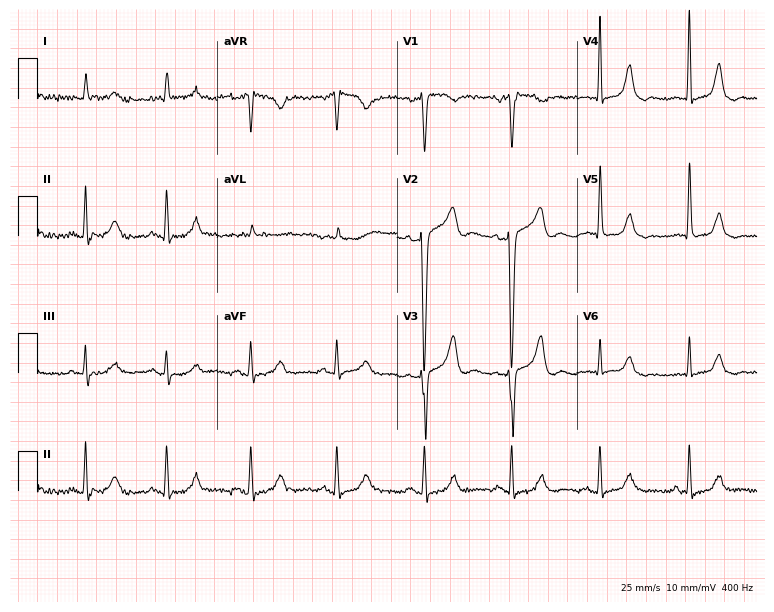
12-lead ECG from a 77-year-old male. No first-degree AV block, right bundle branch block, left bundle branch block, sinus bradycardia, atrial fibrillation or sinus tachycardia recorded for this tracing. Other findings, if any, are not listed.